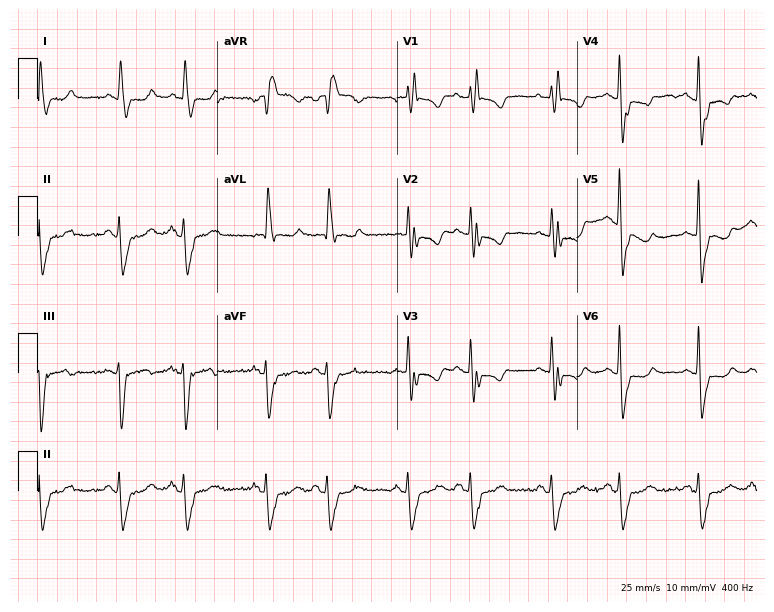
ECG — a 74-year-old female. Findings include right bundle branch block.